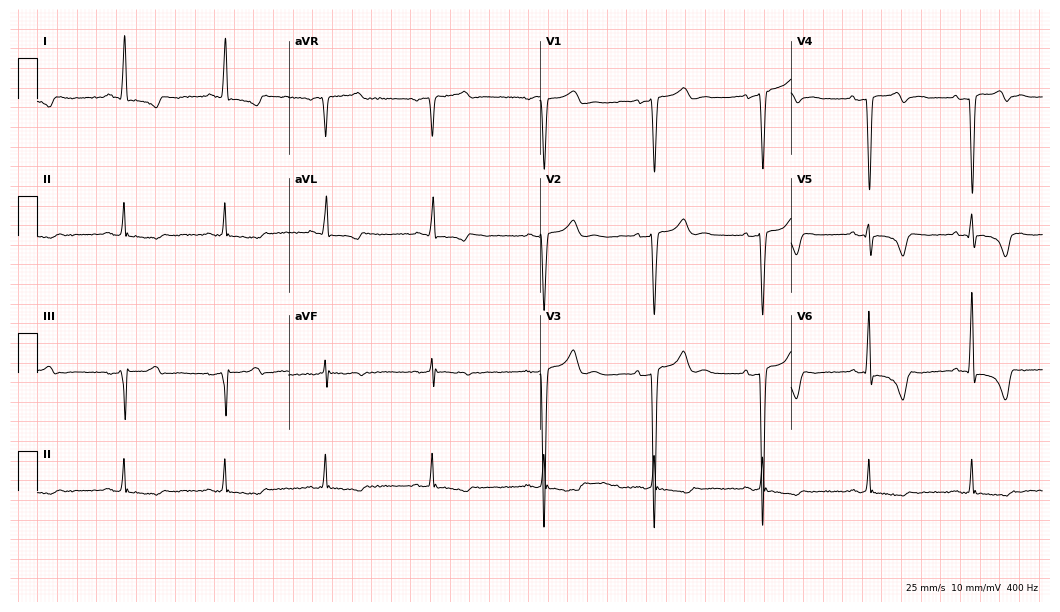
ECG (10.2-second recording at 400 Hz) — a 71-year-old male. Screened for six findings — first-degree AV block, right bundle branch block, left bundle branch block, sinus bradycardia, atrial fibrillation, sinus tachycardia — none is recorded.